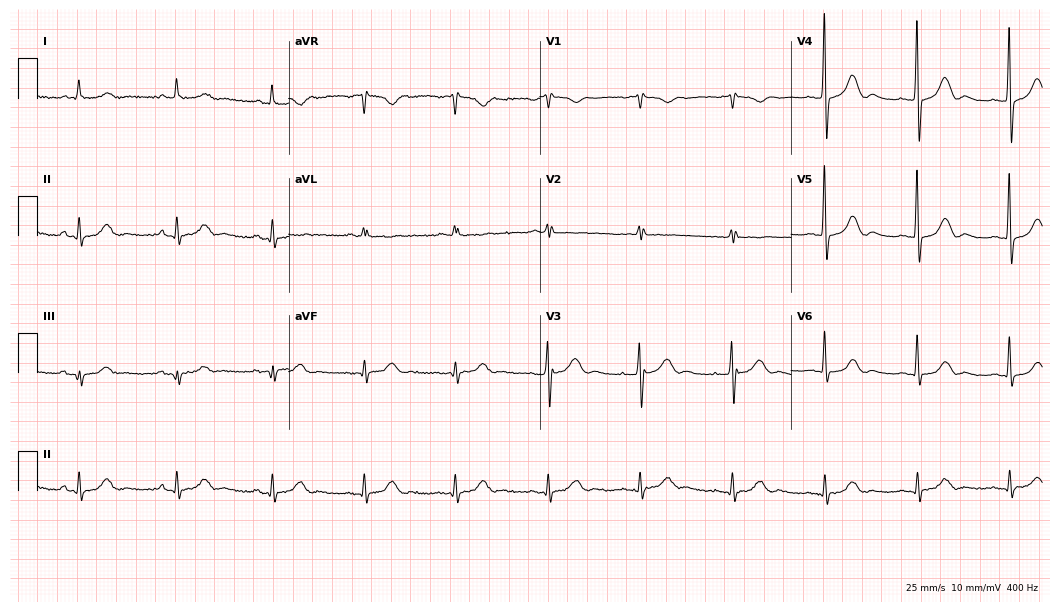
12-lead ECG (10.2-second recording at 400 Hz) from a female patient, 77 years old. Labelled as a normal ECG.